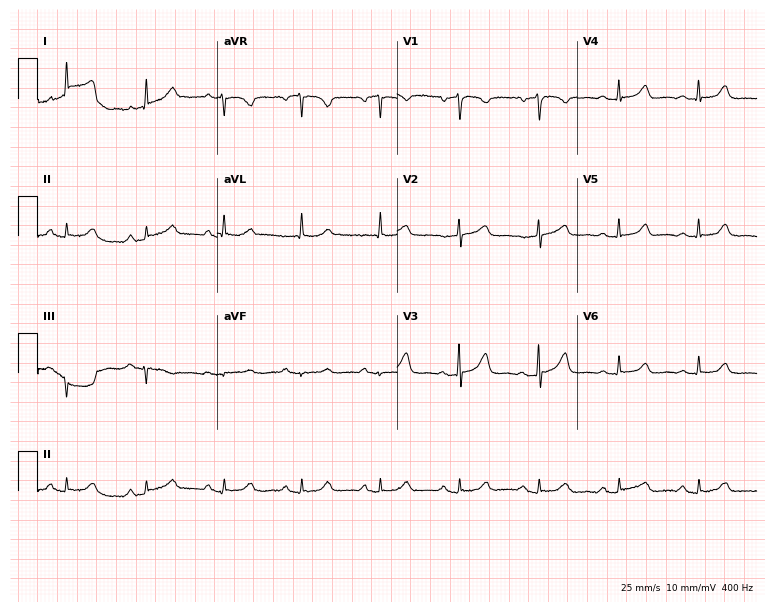
12-lead ECG from an 80-year-old woman. Labelled as a normal ECG.